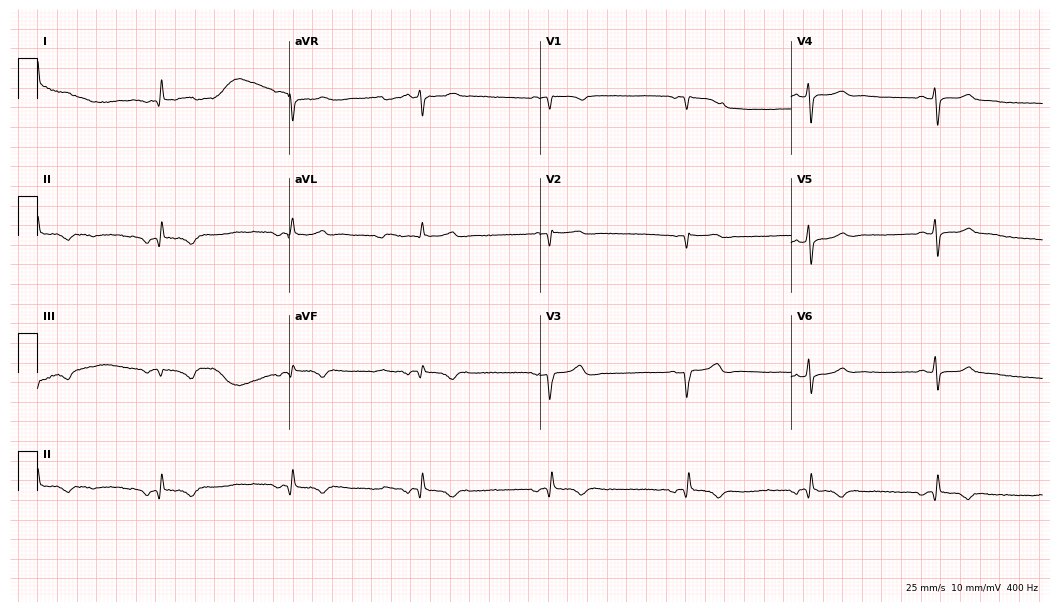
Resting 12-lead electrocardiogram (10.2-second recording at 400 Hz). Patient: a 55-year-old woman. The tracing shows sinus bradycardia (a sinus rate of 50 beats per minute or less).